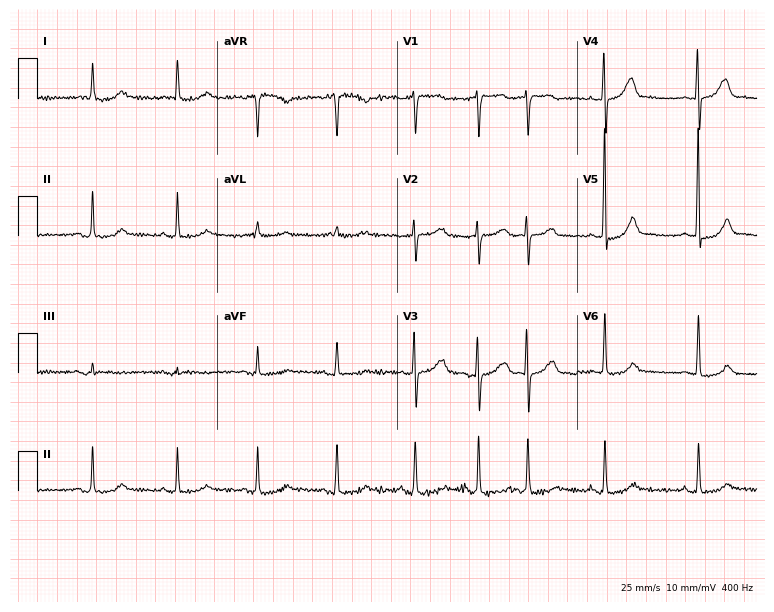
Standard 12-lead ECG recorded from a female patient, 85 years old (7.3-second recording at 400 Hz). None of these six findings is recorded: first-degree AV block, right bundle branch block, left bundle branch block, sinus bradycardia, atrial fibrillation, sinus tachycardia. Findings outside these six are not listed.